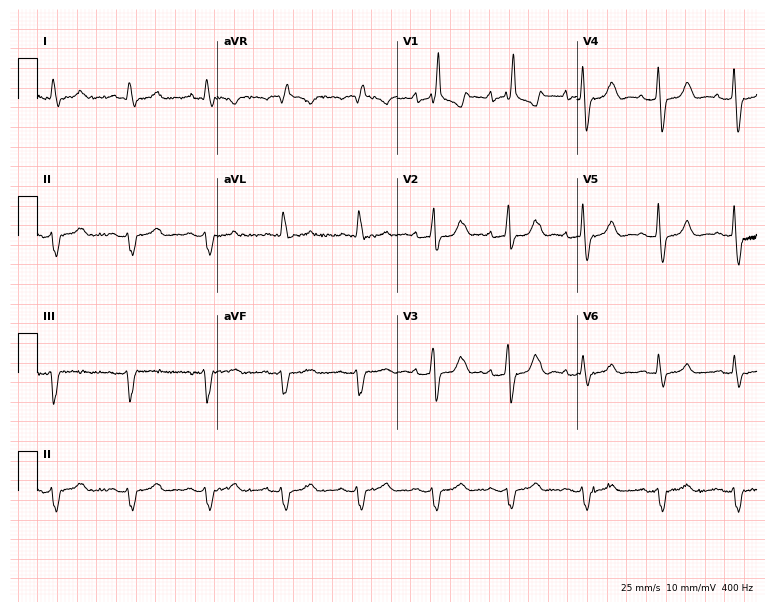
12-lead ECG from a male, 76 years old. Shows right bundle branch block.